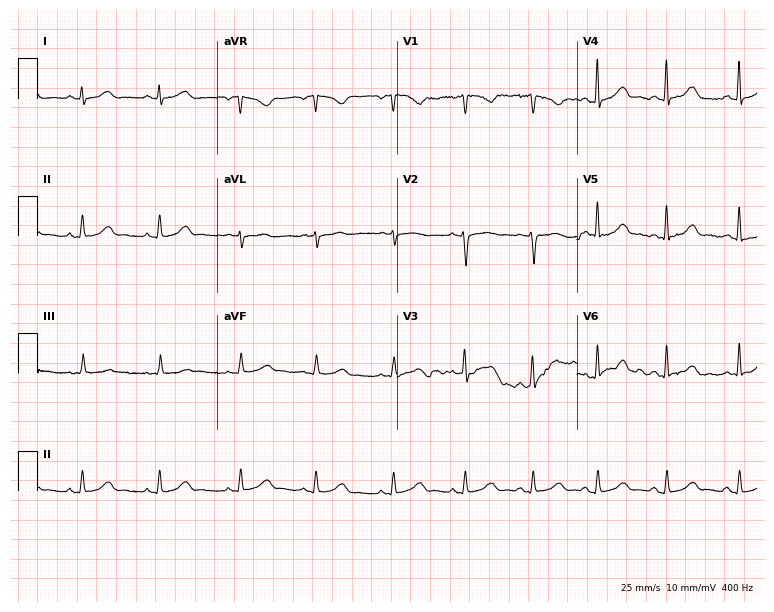
ECG (7.3-second recording at 400 Hz) — a 29-year-old female. Labelled as a normal ECG.